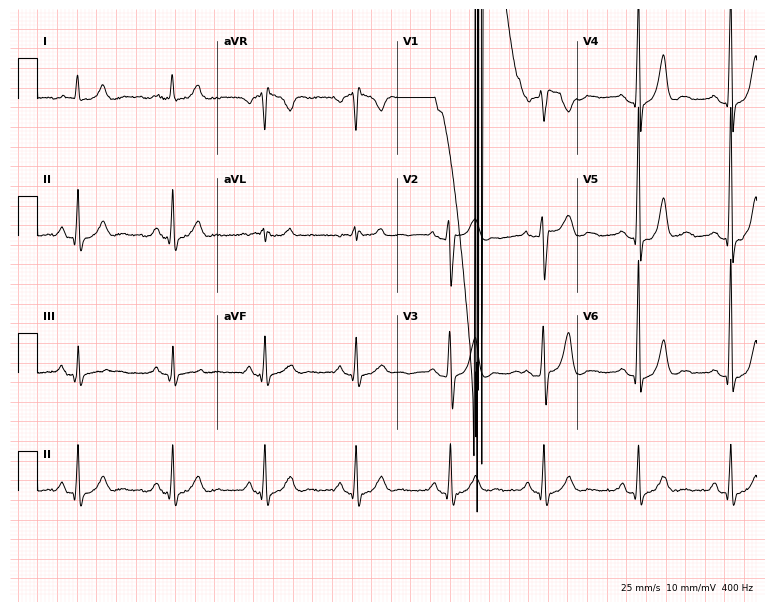
Standard 12-lead ECG recorded from a 52-year-old male. None of these six findings is recorded: first-degree AV block, right bundle branch block (RBBB), left bundle branch block (LBBB), sinus bradycardia, atrial fibrillation (AF), sinus tachycardia. Other findings, if any, are not listed.